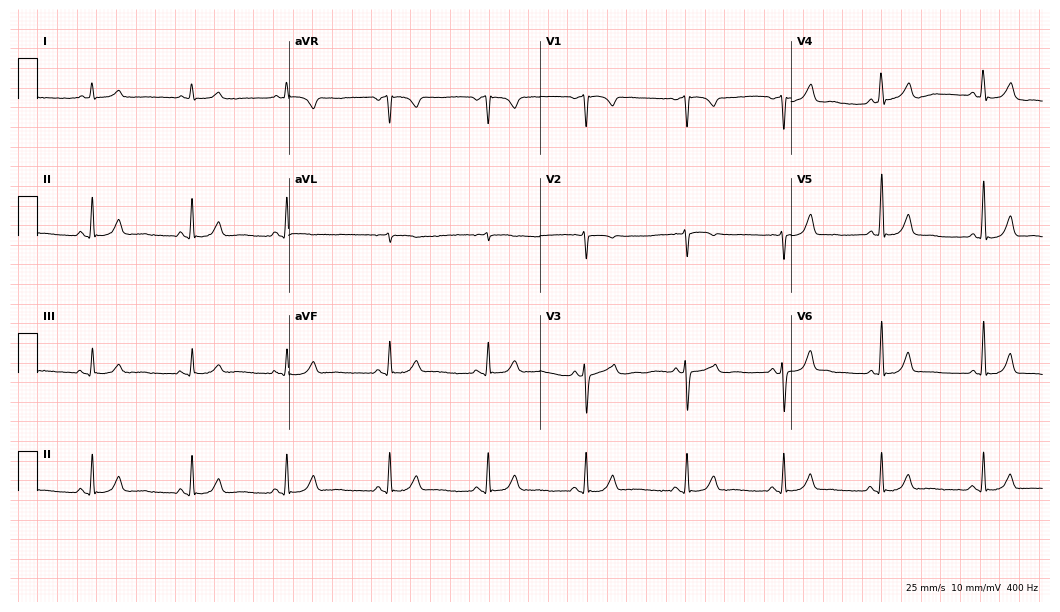
Standard 12-lead ECG recorded from a 45-year-old woman (10.2-second recording at 400 Hz). Read as a normal ECG.